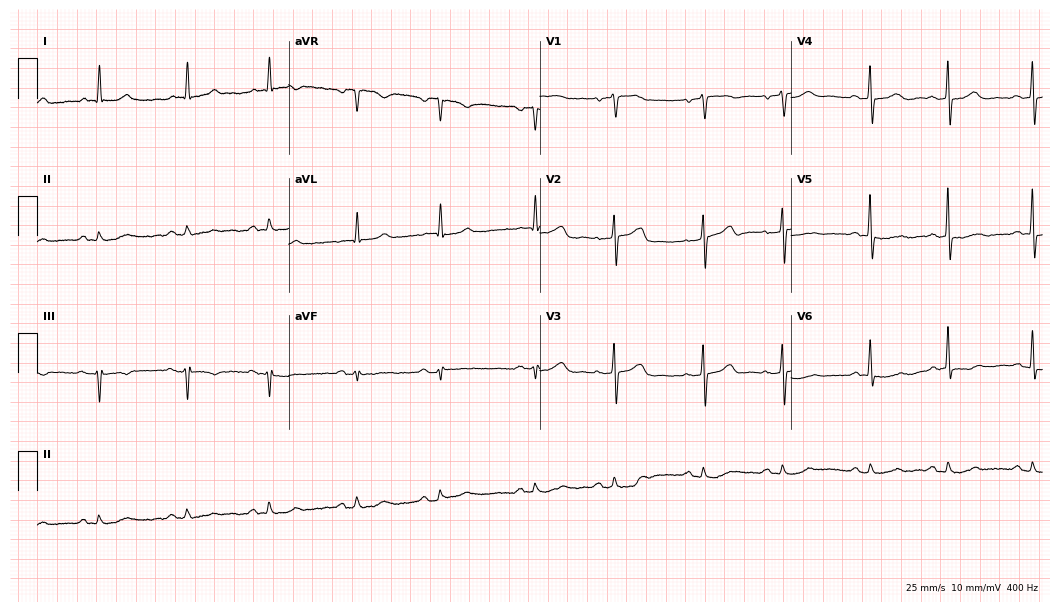
Standard 12-lead ECG recorded from a male, 85 years old. None of these six findings is recorded: first-degree AV block, right bundle branch block, left bundle branch block, sinus bradycardia, atrial fibrillation, sinus tachycardia.